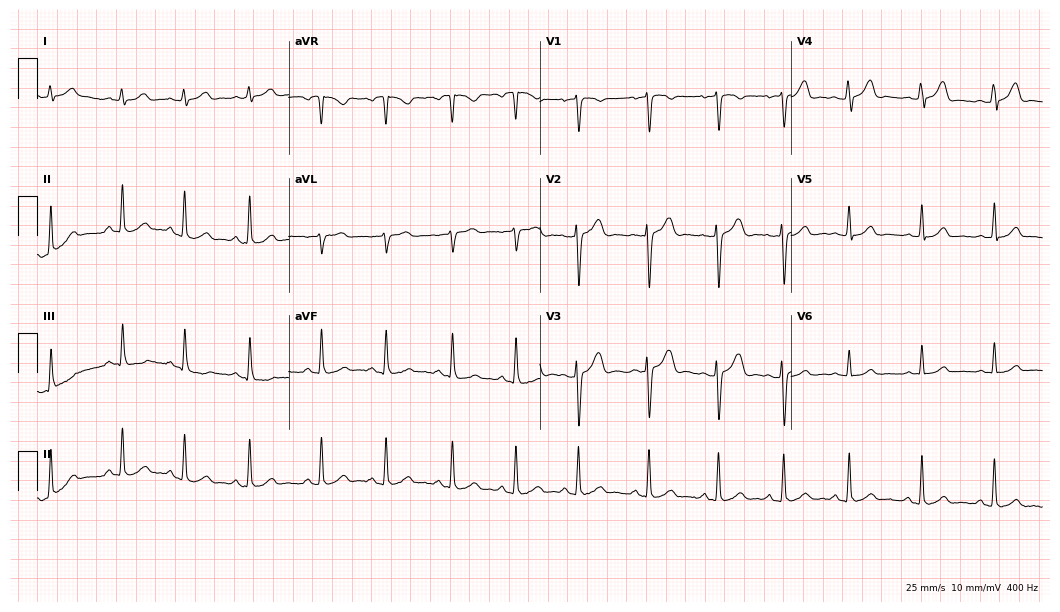
Electrocardiogram, a 21-year-old woman. Of the six screened findings (first-degree AV block, right bundle branch block, left bundle branch block, sinus bradycardia, atrial fibrillation, sinus tachycardia), none is recorded. Findings outside these six are not listed.